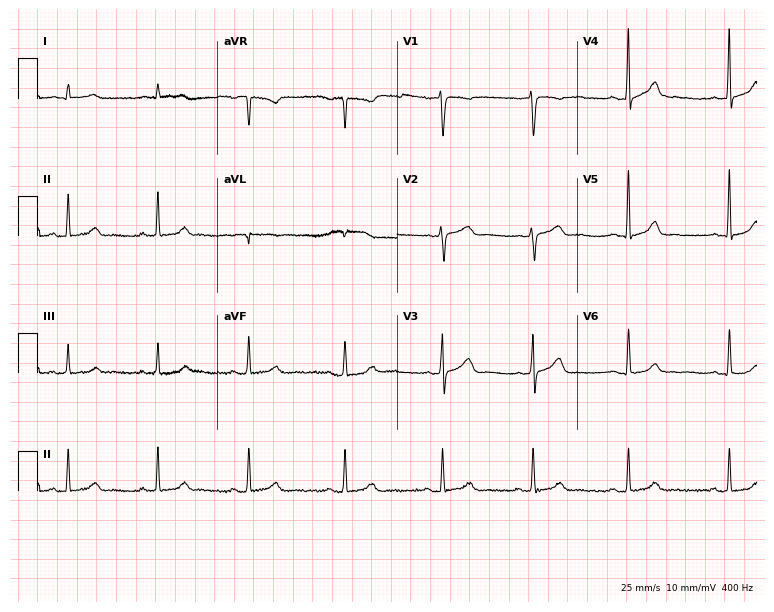
12-lead ECG from a woman, 29 years old (7.3-second recording at 400 Hz). No first-degree AV block, right bundle branch block, left bundle branch block, sinus bradycardia, atrial fibrillation or sinus tachycardia recorded for this tracing.